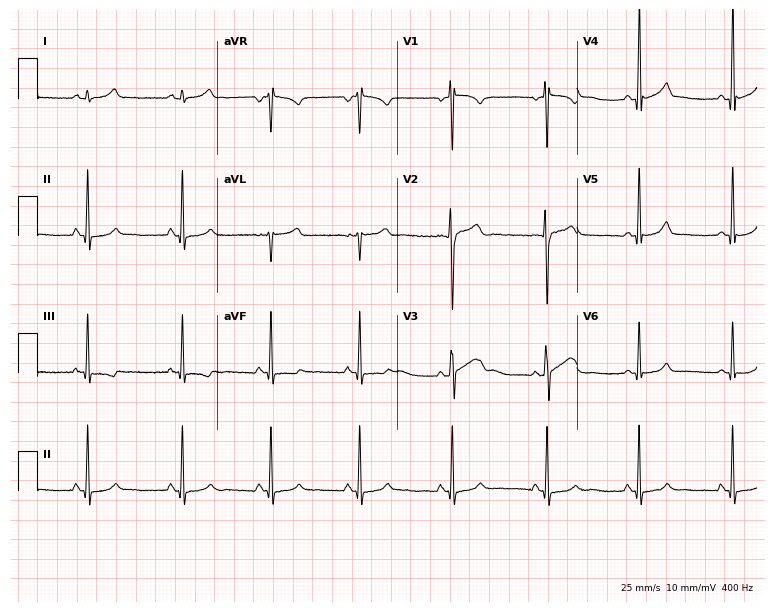
12-lead ECG from a 32-year-old male. Recorded interpretation: within normal limits.